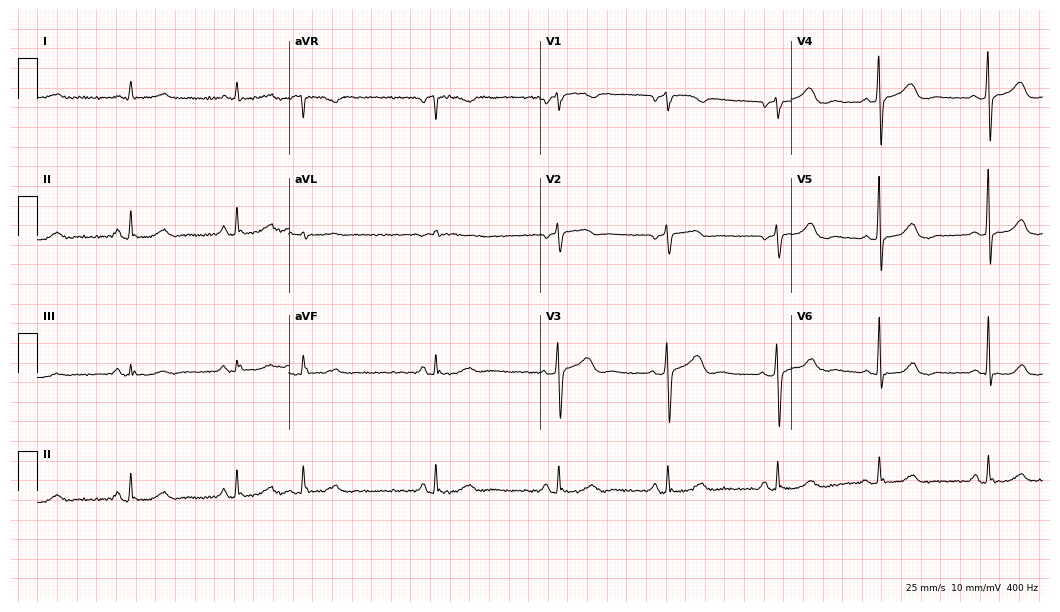
Electrocardiogram (10.2-second recording at 400 Hz), a 68-year-old woman. Of the six screened findings (first-degree AV block, right bundle branch block (RBBB), left bundle branch block (LBBB), sinus bradycardia, atrial fibrillation (AF), sinus tachycardia), none is recorded.